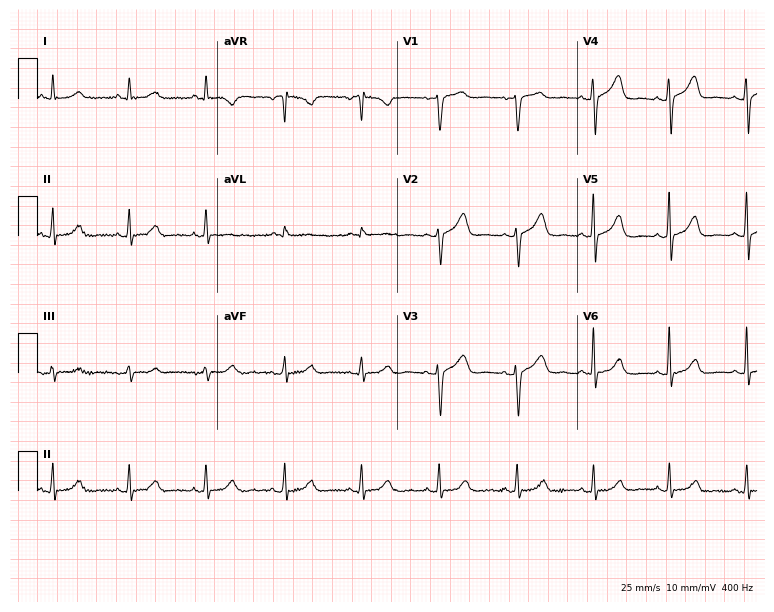
Standard 12-lead ECG recorded from a female, 53 years old. Read as a normal ECG.